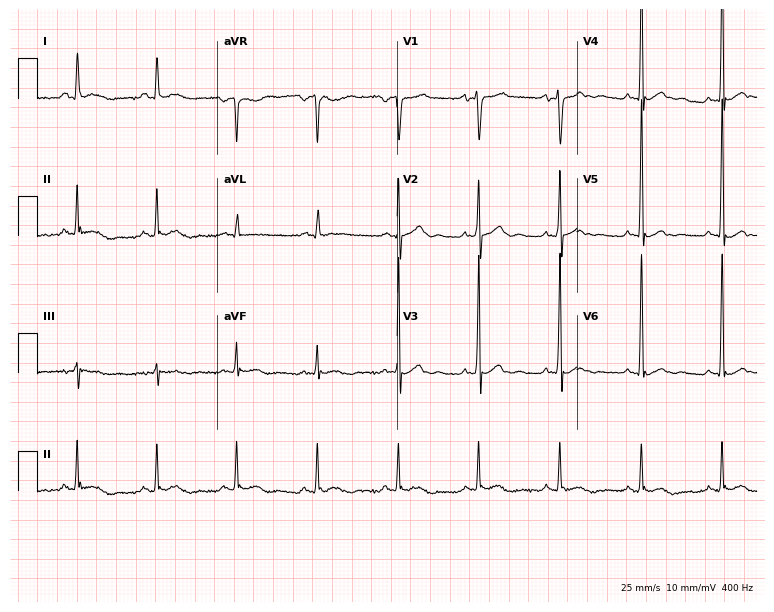
Electrocardiogram (7.3-second recording at 400 Hz), a 43-year-old man. Of the six screened findings (first-degree AV block, right bundle branch block, left bundle branch block, sinus bradycardia, atrial fibrillation, sinus tachycardia), none is recorded.